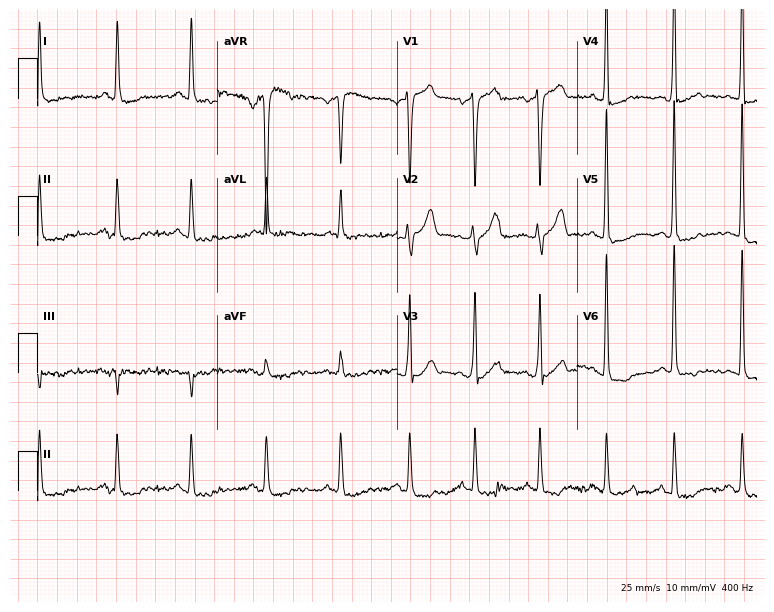
12-lead ECG from a man, 63 years old. No first-degree AV block, right bundle branch block (RBBB), left bundle branch block (LBBB), sinus bradycardia, atrial fibrillation (AF) or sinus tachycardia recorded for this tracing.